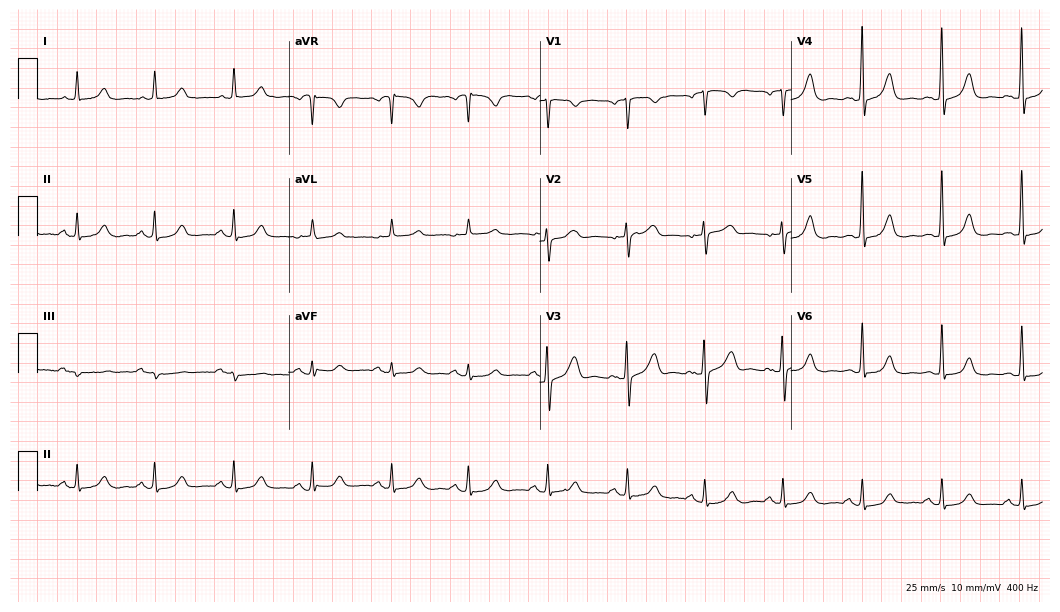
Resting 12-lead electrocardiogram. Patient: a female, 68 years old. Read as a normal ECG.